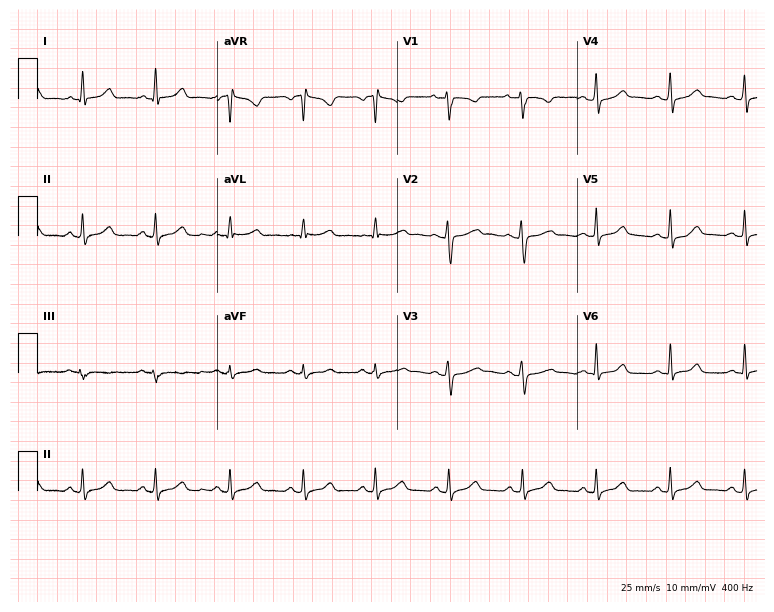
Resting 12-lead electrocardiogram. Patient: a 26-year-old female. Read as a normal ECG.